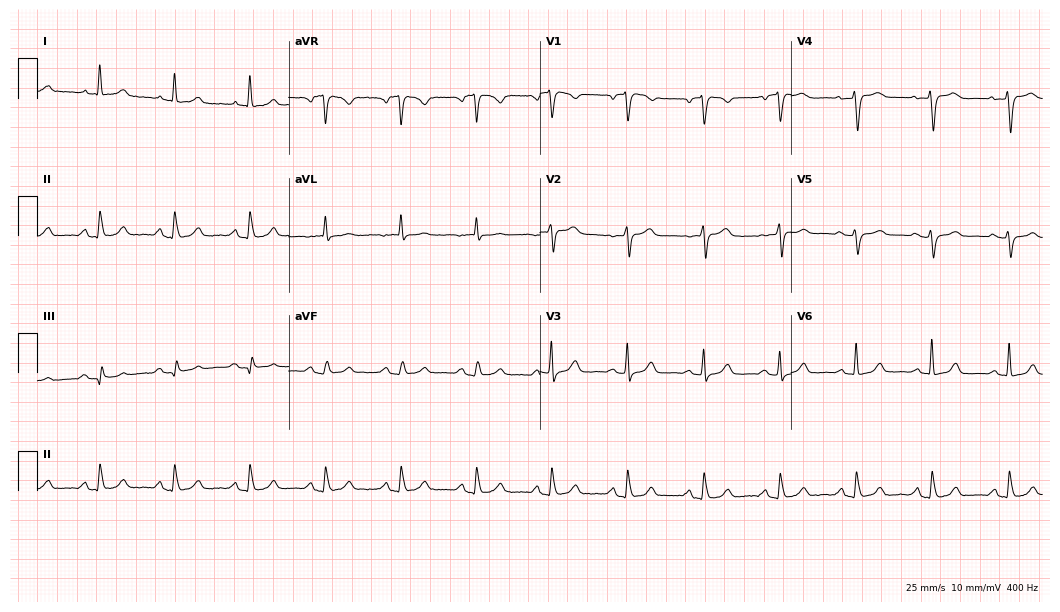
12-lead ECG from a female, 74 years old. No first-degree AV block, right bundle branch block, left bundle branch block, sinus bradycardia, atrial fibrillation or sinus tachycardia recorded for this tracing.